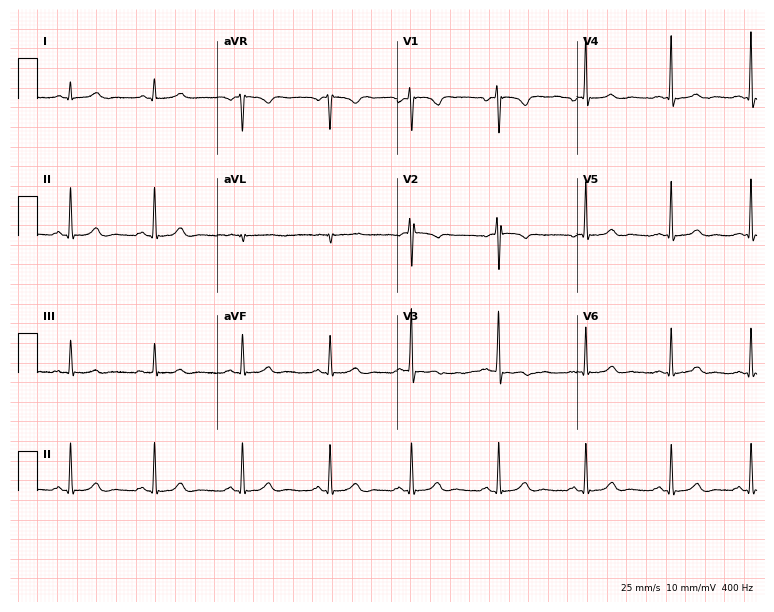
Resting 12-lead electrocardiogram (7.3-second recording at 400 Hz). Patient: a female, 30 years old. Read as a normal ECG.